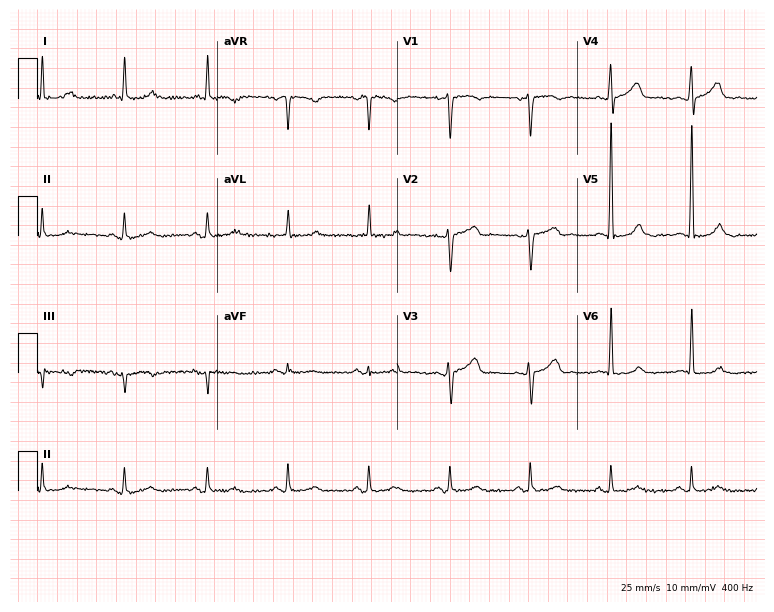
Standard 12-lead ECG recorded from a 75-year-old male. None of these six findings is recorded: first-degree AV block, right bundle branch block (RBBB), left bundle branch block (LBBB), sinus bradycardia, atrial fibrillation (AF), sinus tachycardia. Other findings, if any, are not listed.